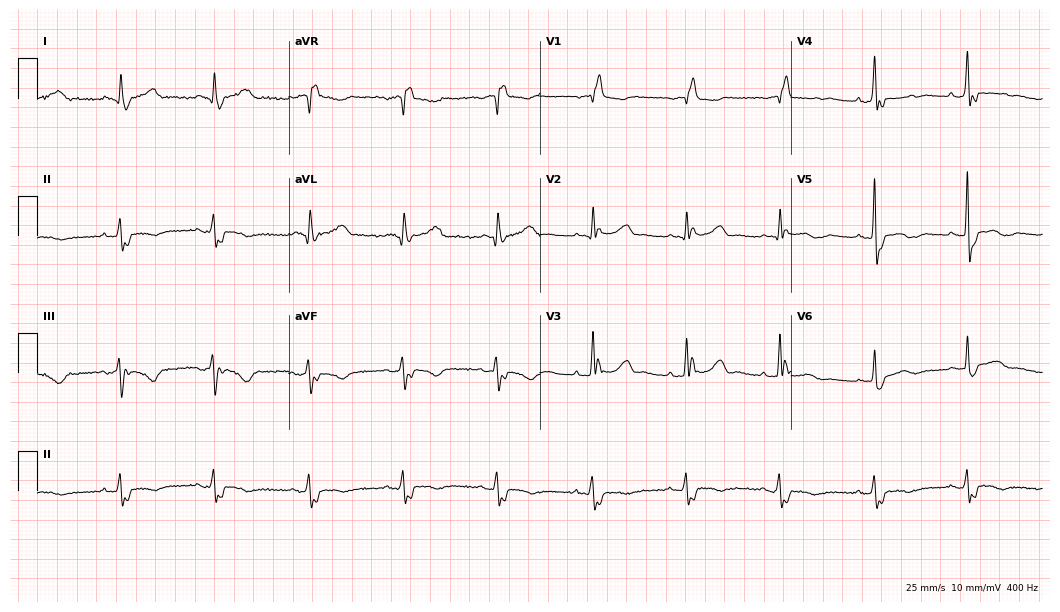
12-lead ECG from a 79-year-old woman (10.2-second recording at 400 Hz). No first-degree AV block, right bundle branch block, left bundle branch block, sinus bradycardia, atrial fibrillation or sinus tachycardia recorded for this tracing. Only these six findings were labelled.